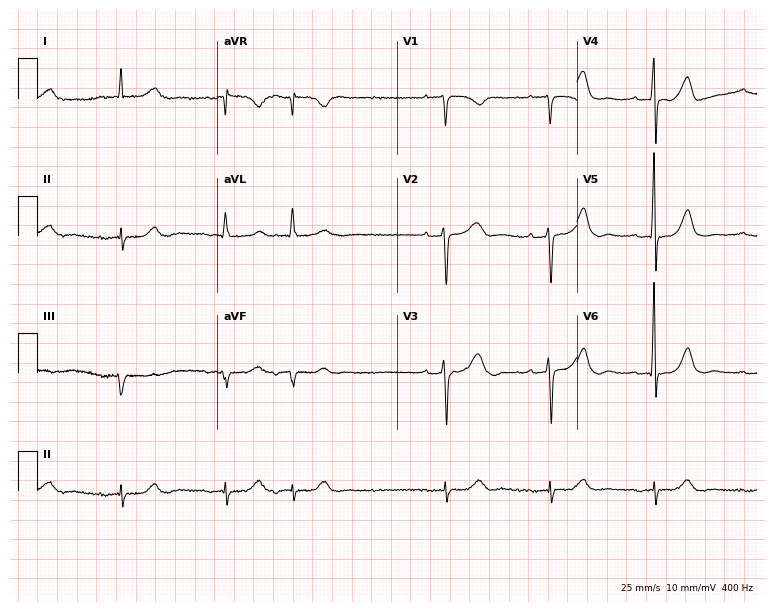
Standard 12-lead ECG recorded from an 81-year-old male patient (7.3-second recording at 400 Hz). None of these six findings is recorded: first-degree AV block, right bundle branch block (RBBB), left bundle branch block (LBBB), sinus bradycardia, atrial fibrillation (AF), sinus tachycardia. Other findings, if any, are not listed.